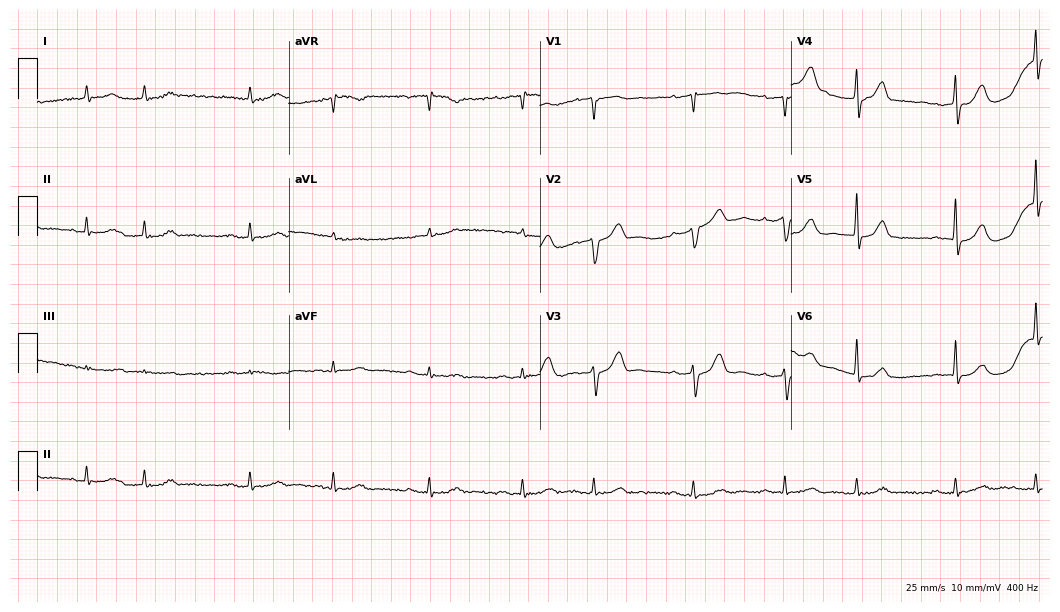
Resting 12-lead electrocardiogram (10.2-second recording at 400 Hz). Patient: an 81-year-old male. None of these six findings is recorded: first-degree AV block, right bundle branch block (RBBB), left bundle branch block (LBBB), sinus bradycardia, atrial fibrillation (AF), sinus tachycardia.